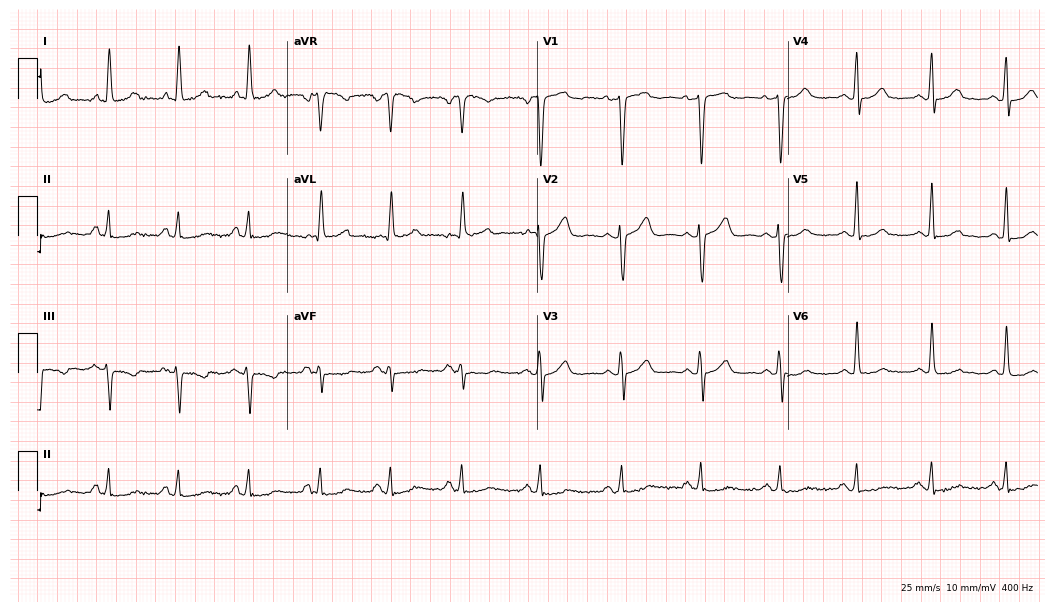
12-lead ECG from a 56-year-old woman. No first-degree AV block, right bundle branch block, left bundle branch block, sinus bradycardia, atrial fibrillation or sinus tachycardia recorded for this tracing.